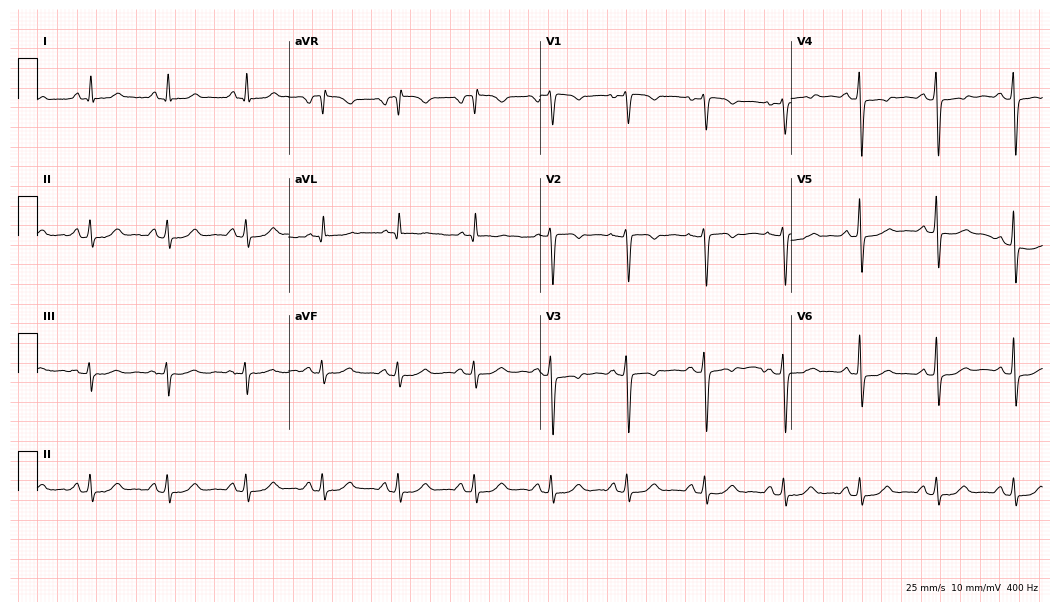
12-lead ECG from a woman, 45 years old (10.2-second recording at 400 Hz). No first-degree AV block, right bundle branch block, left bundle branch block, sinus bradycardia, atrial fibrillation or sinus tachycardia recorded for this tracing.